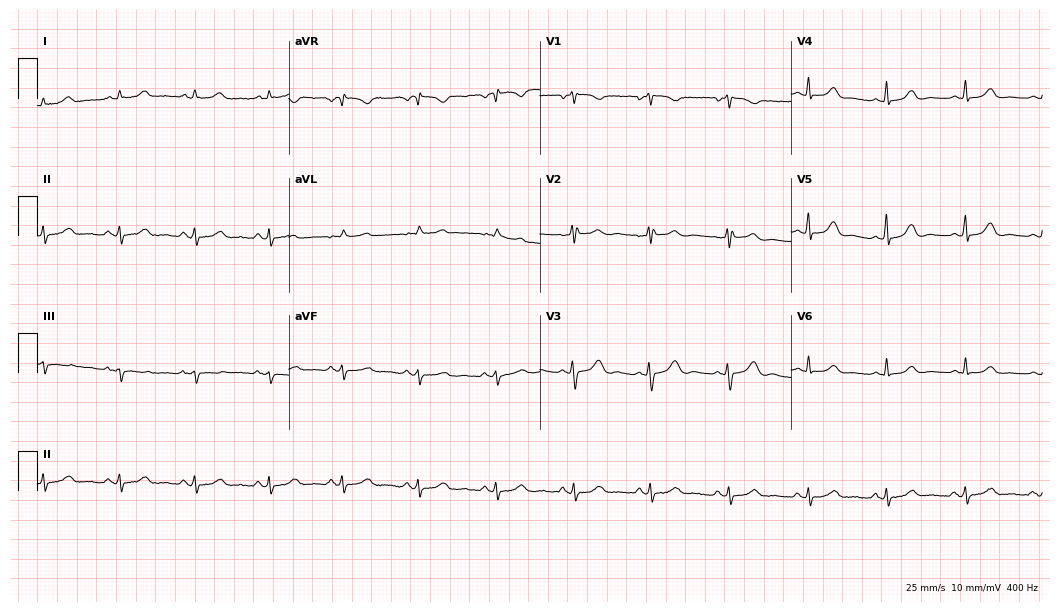
ECG (10.2-second recording at 400 Hz) — a 41-year-old female patient. Labelled as a normal ECG.